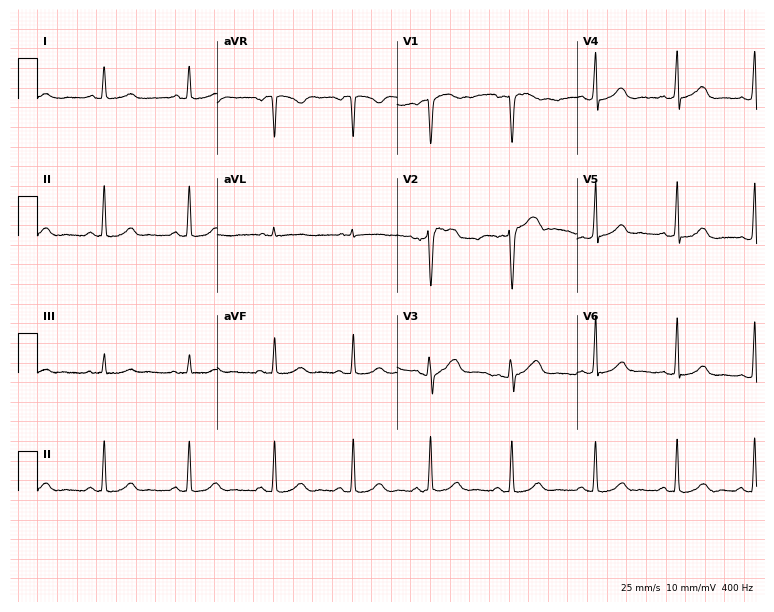
Standard 12-lead ECG recorded from a 37-year-old female (7.3-second recording at 400 Hz). None of these six findings is recorded: first-degree AV block, right bundle branch block, left bundle branch block, sinus bradycardia, atrial fibrillation, sinus tachycardia. Other findings, if any, are not listed.